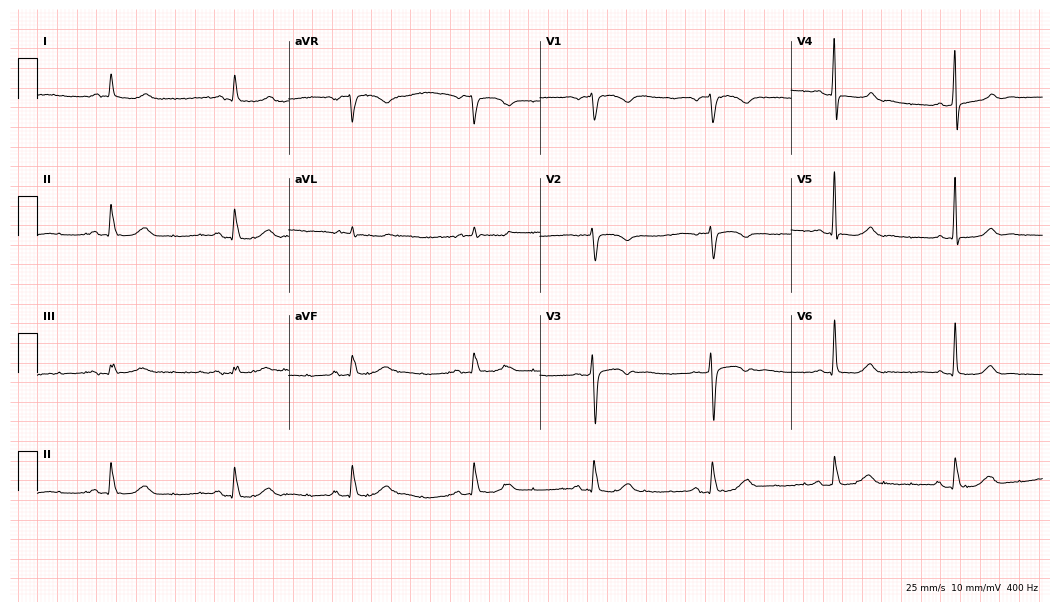
12-lead ECG from an 80-year-old female patient (10.2-second recording at 400 Hz). Shows sinus bradycardia (a sinus rate of 50 beats per minute or less).